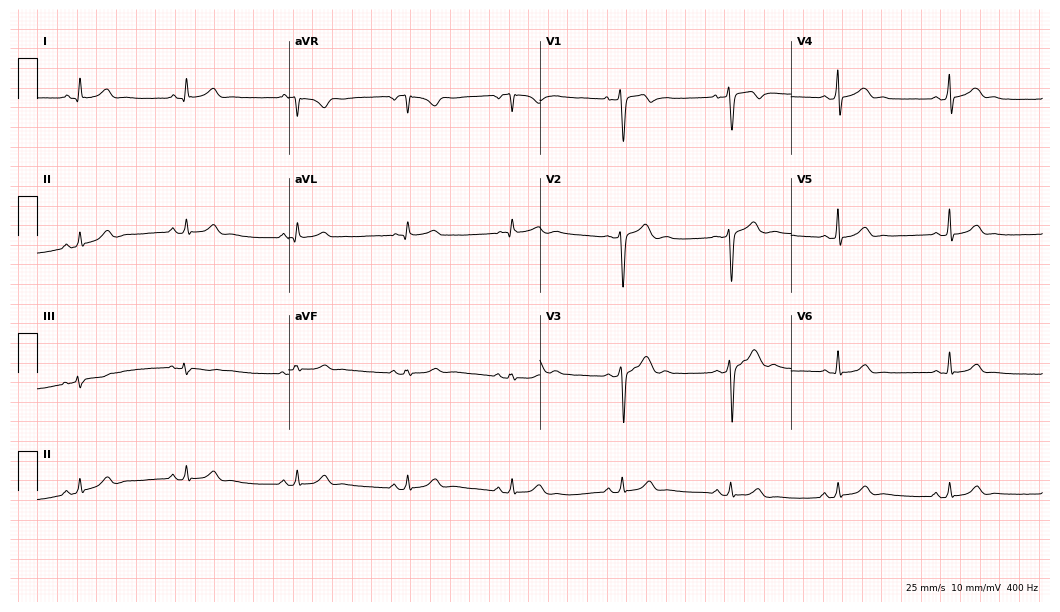
12-lead ECG (10.2-second recording at 400 Hz) from a 32-year-old male. Labelled as a normal ECG.